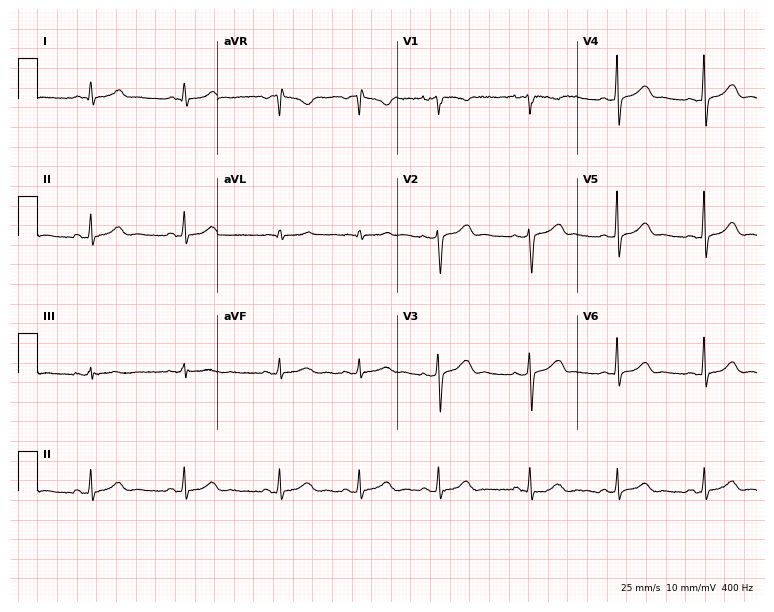
12-lead ECG from a woman, 27 years old. Recorded interpretation: within normal limits.